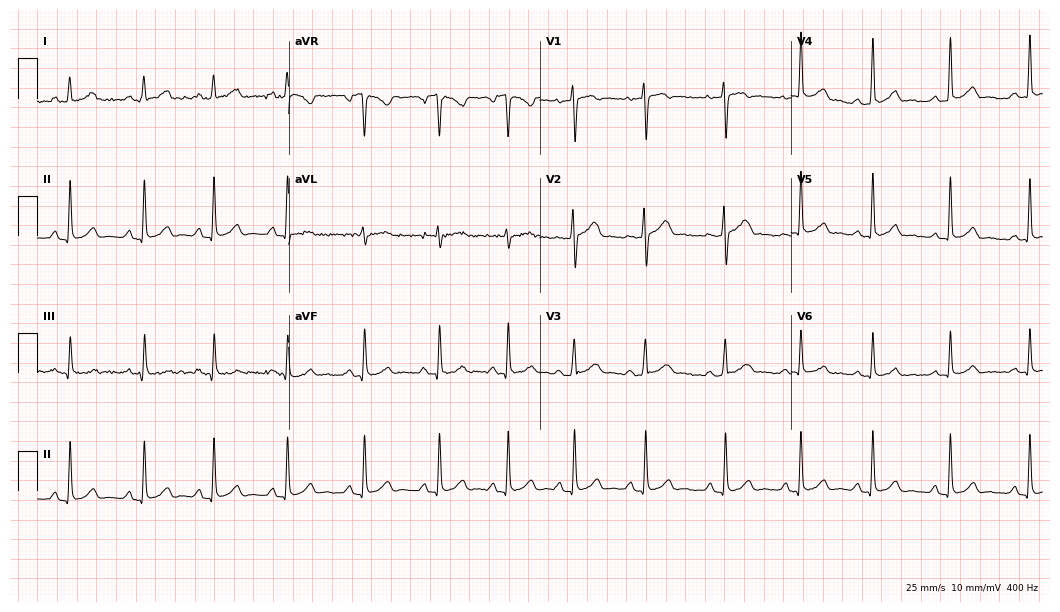
ECG — a female, 31 years old. Labelled as a normal ECG.